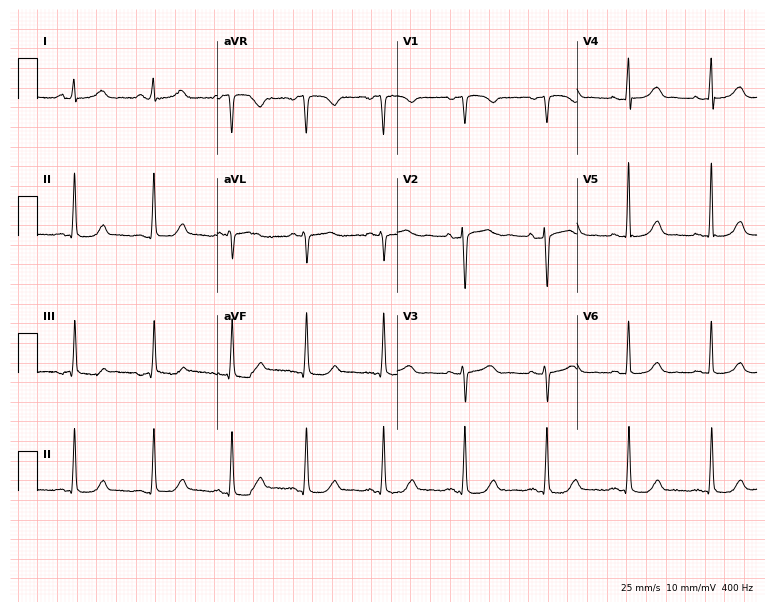
ECG (7.3-second recording at 400 Hz) — a female patient, 57 years old. Screened for six findings — first-degree AV block, right bundle branch block (RBBB), left bundle branch block (LBBB), sinus bradycardia, atrial fibrillation (AF), sinus tachycardia — none is recorded. Only these six findings were labelled.